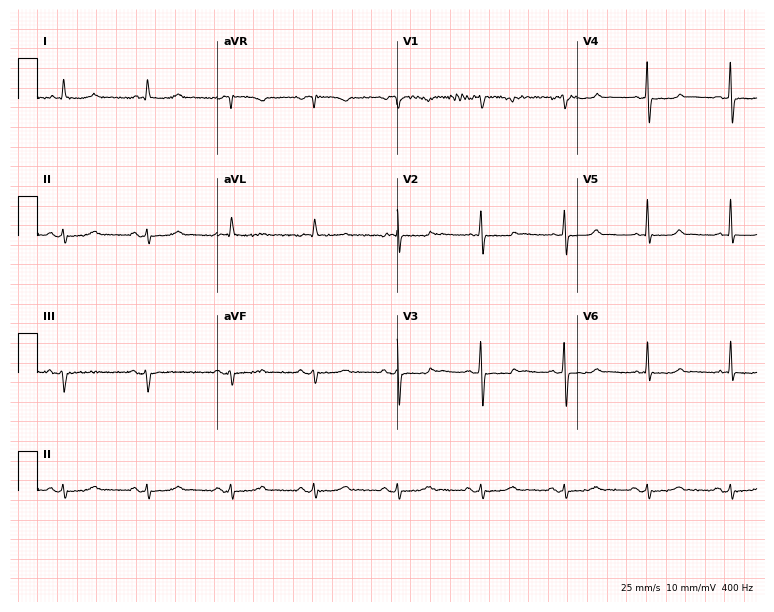
Standard 12-lead ECG recorded from a man, 85 years old. Read as a normal ECG.